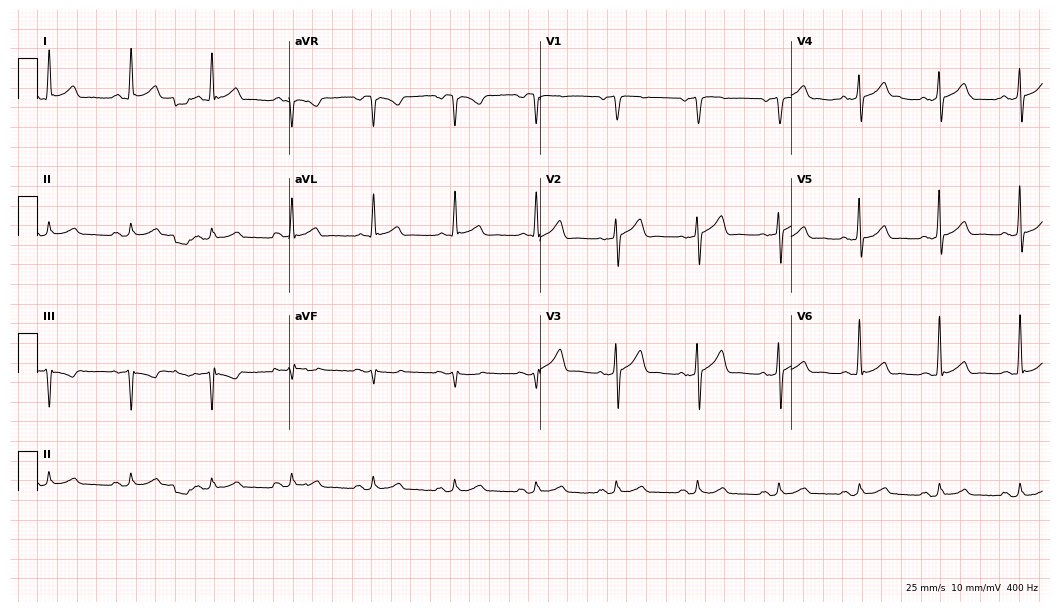
Standard 12-lead ECG recorded from a 62-year-old male patient (10.2-second recording at 400 Hz). Read as a normal ECG.